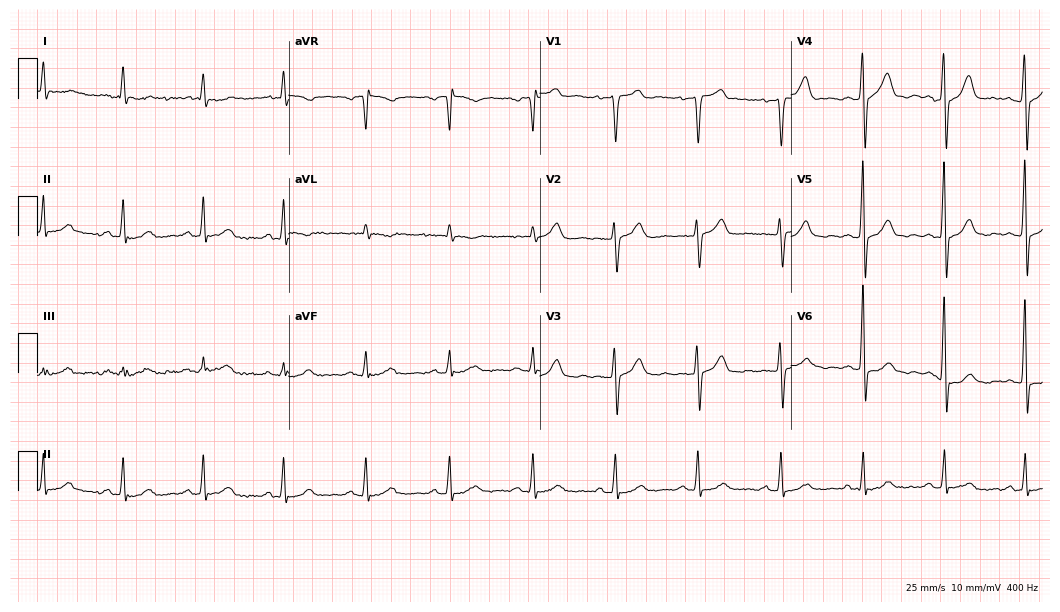
Electrocardiogram, a male patient, 49 years old. Of the six screened findings (first-degree AV block, right bundle branch block (RBBB), left bundle branch block (LBBB), sinus bradycardia, atrial fibrillation (AF), sinus tachycardia), none is recorded.